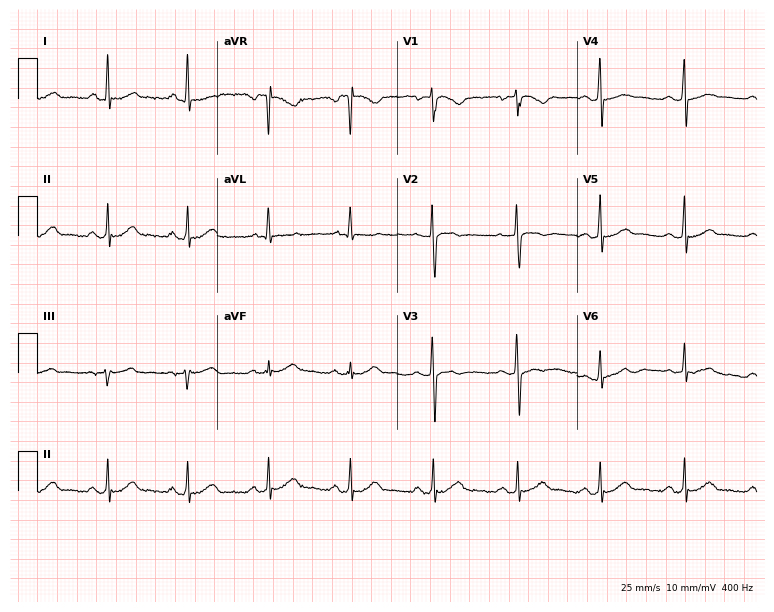
Resting 12-lead electrocardiogram. Patient: a female, 54 years old. None of these six findings is recorded: first-degree AV block, right bundle branch block (RBBB), left bundle branch block (LBBB), sinus bradycardia, atrial fibrillation (AF), sinus tachycardia. Findings outside these six are not listed.